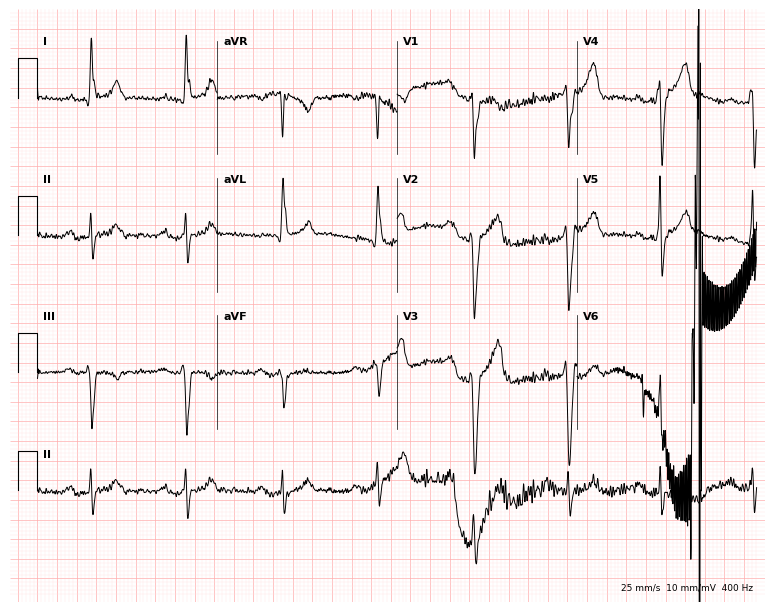
ECG (7.3-second recording at 400 Hz) — a male, 69 years old. Screened for six findings — first-degree AV block, right bundle branch block (RBBB), left bundle branch block (LBBB), sinus bradycardia, atrial fibrillation (AF), sinus tachycardia — none is recorded. Other findings, if any, are not listed.